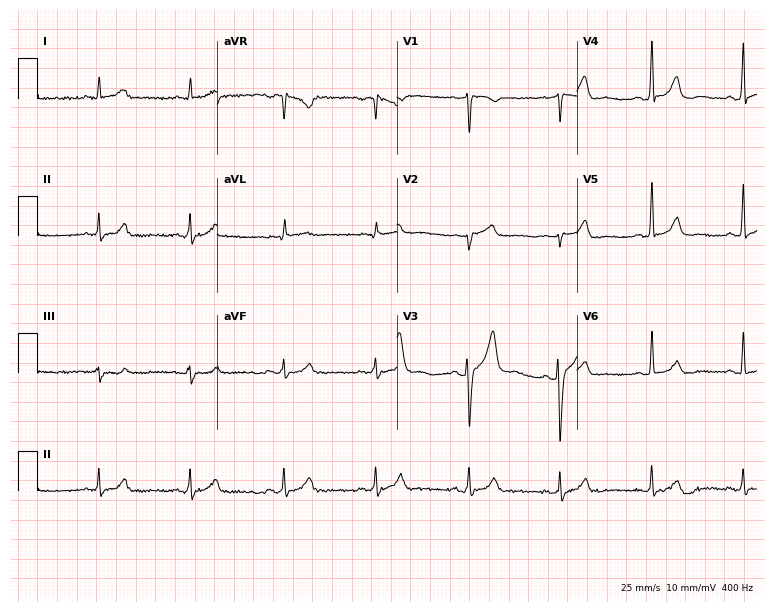
12-lead ECG from a 49-year-old male patient. Labelled as a normal ECG.